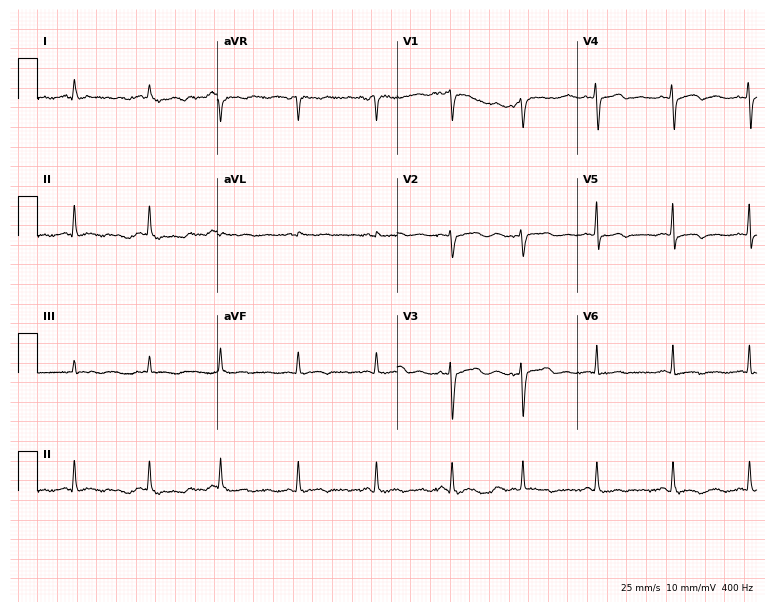
Electrocardiogram (7.3-second recording at 400 Hz), a woman, 31 years old. Of the six screened findings (first-degree AV block, right bundle branch block, left bundle branch block, sinus bradycardia, atrial fibrillation, sinus tachycardia), none is recorded. Findings outside these six are not listed.